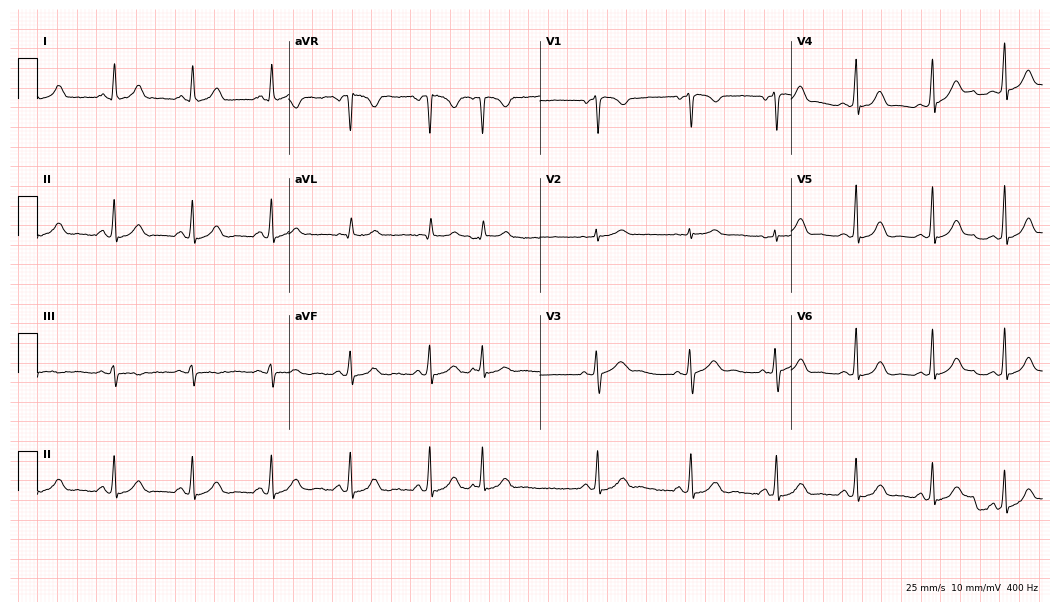
Resting 12-lead electrocardiogram (10.2-second recording at 400 Hz). Patient: a female, 37 years old. None of these six findings is recorded: first-degree AV block, right bundle branch block, left bundle branch block, sinus bradycardia, atrial fibrillation, sinus tachycardia. Only these six findings were labelled.